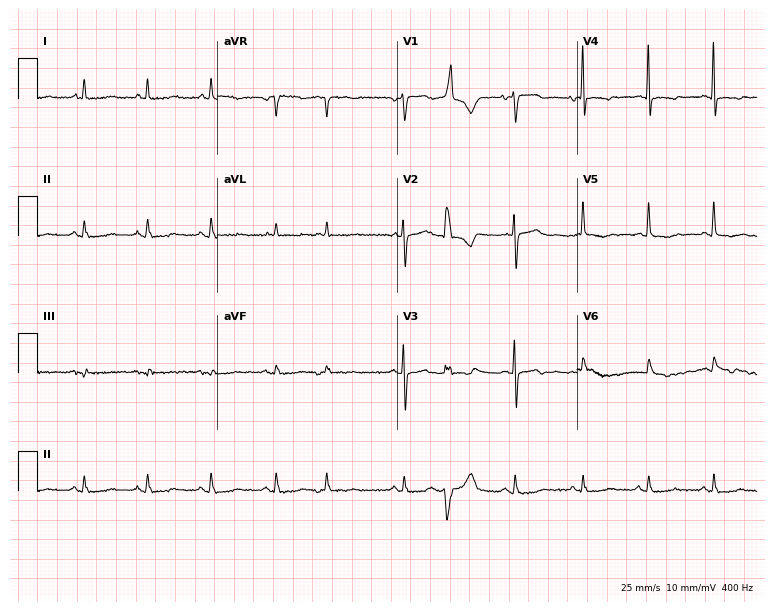
ECG — an 82-year-old female patient. Screened for six findings — first-degree AV block, right bundle branch block, left bundle branch block, sinus bradycardia, atrial fibrillation, sinus tachycardia — none is recorded. Only these six findings were labelled.